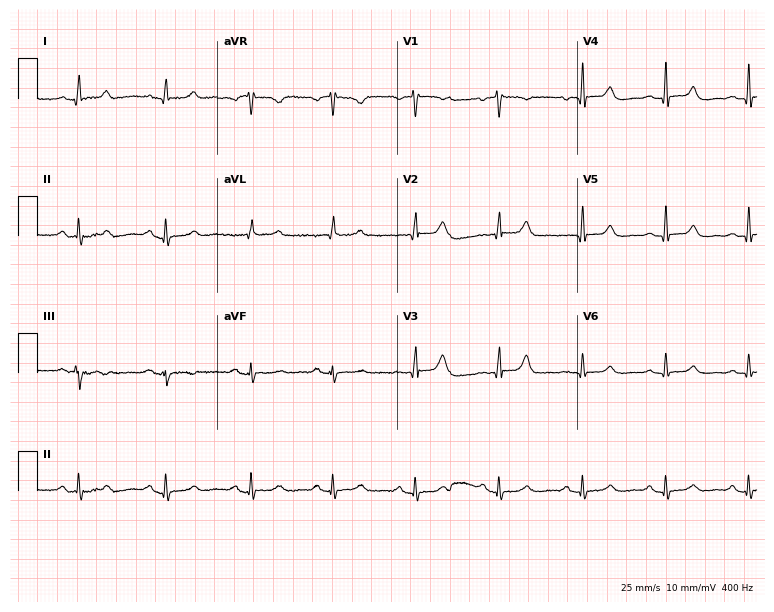
Standard 12-lead ECG recorded from a woman, 59 years old (7.3-second recording at 400 Hz). Read as a normal ECG.